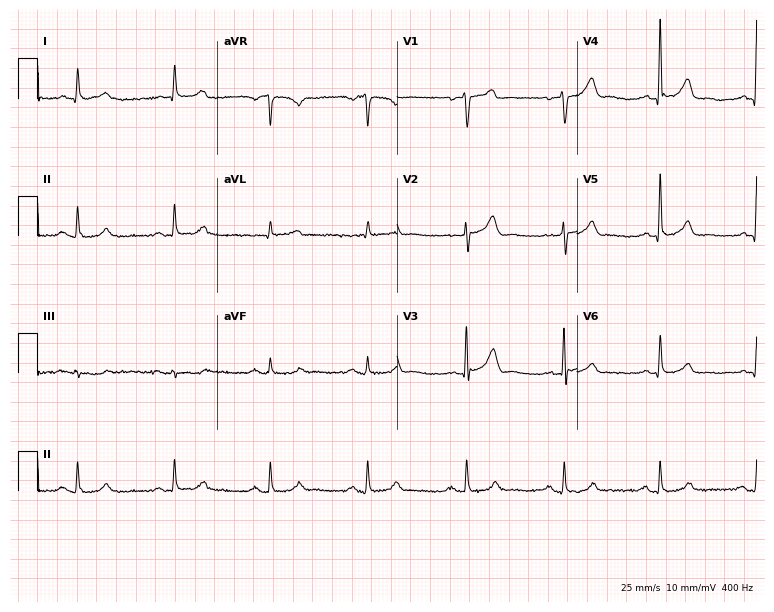
12-lead ECG from an 82-year-old man. Screened for six findings — first-degree AV block, right bundle branch block, left bundle branch block, sinus bradycardia, atrial fibrillation, sinus tachycardia — none is recorded. Other findings, if any, are not listed.